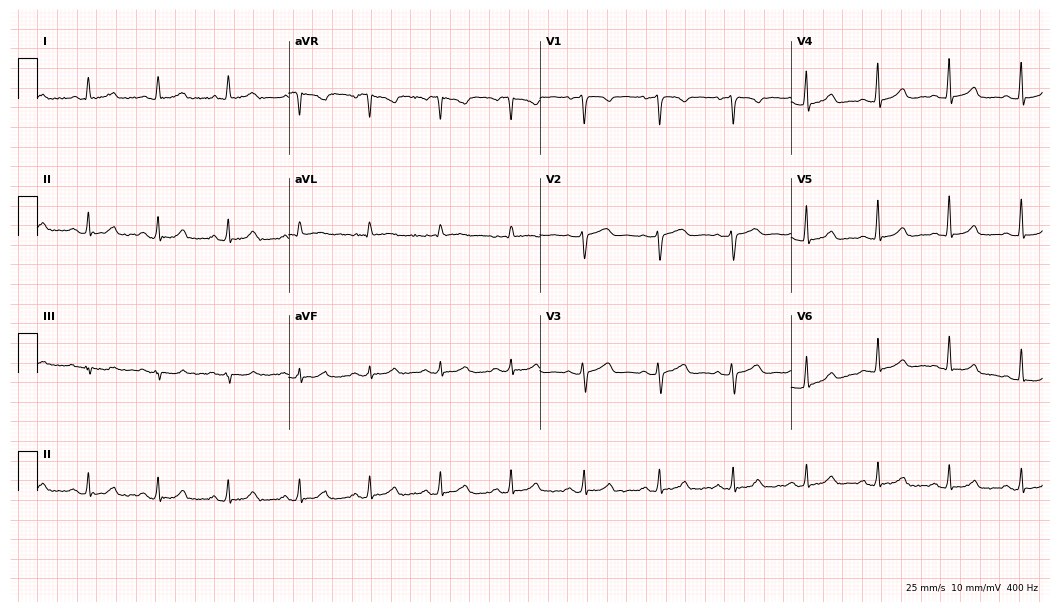
12-lead ECG from a 61-year-old female patient. Labelled as a normal ECG.